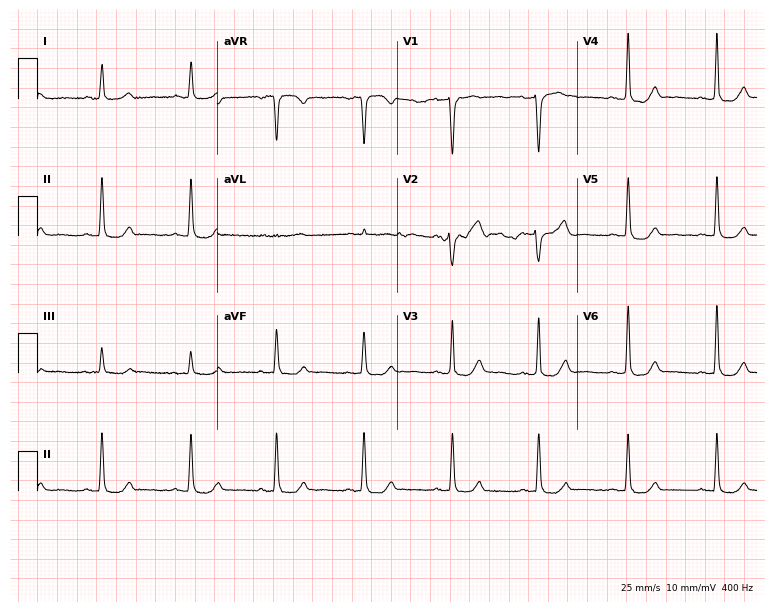
Electrocardiogram, a female, 62 years old. Of the six screened findings (first-degree AV block, right bundle branch block, left bundle branch block, sinus bradycardia, atrial fibrillation, sinus tachycardia), none is recorded. Findings outside these six are not listed.